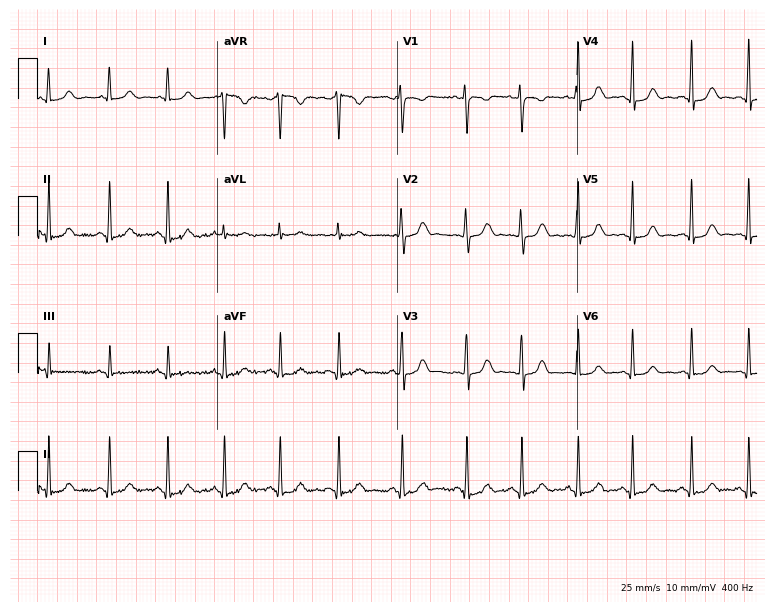
12-lead ECG (7.3-second recording at 400 Hz) from a 21-year-old female. Findings include sinus tachycardia (a sinus rate of 100 beats per minute or more).